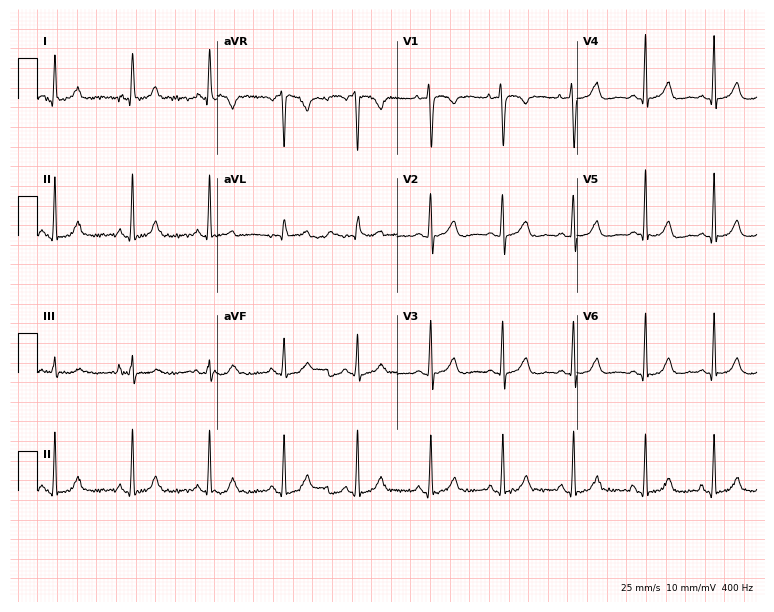
Resting 12-lead electrocardiogram. Patient: a woman, 29 years old. Read as a normal ECG.